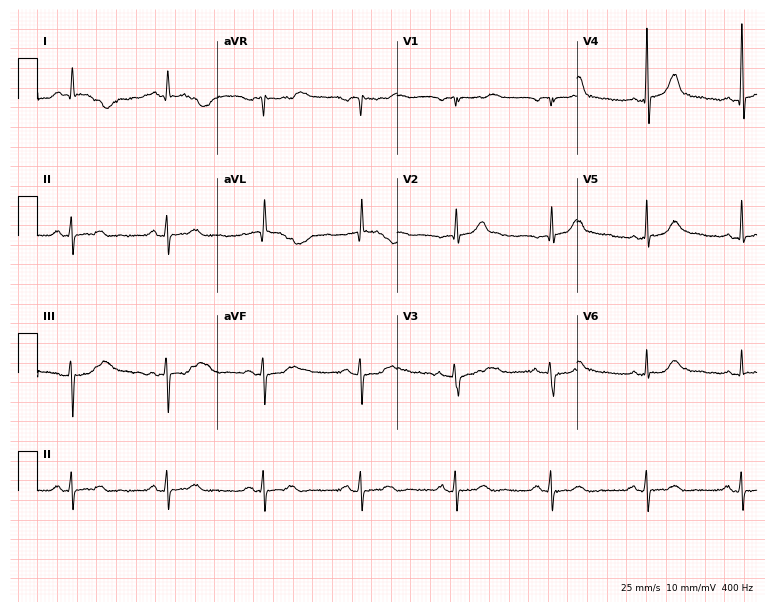
Electrocardiogram, a man, 78 years old. Overall reading on record: normal ECG.